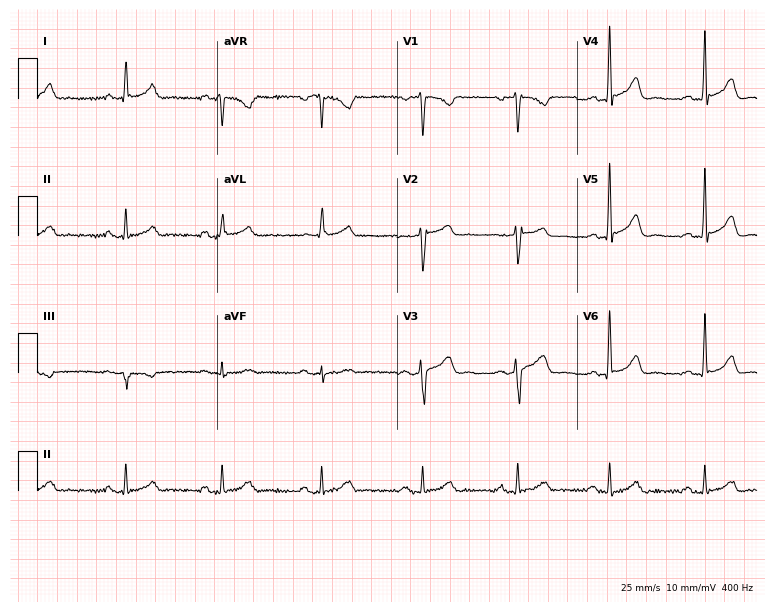
Standard 12-lead ECG recorded from a male, 47 years old (7.3-second recording at 400 Hz). Read as a normal ECG.